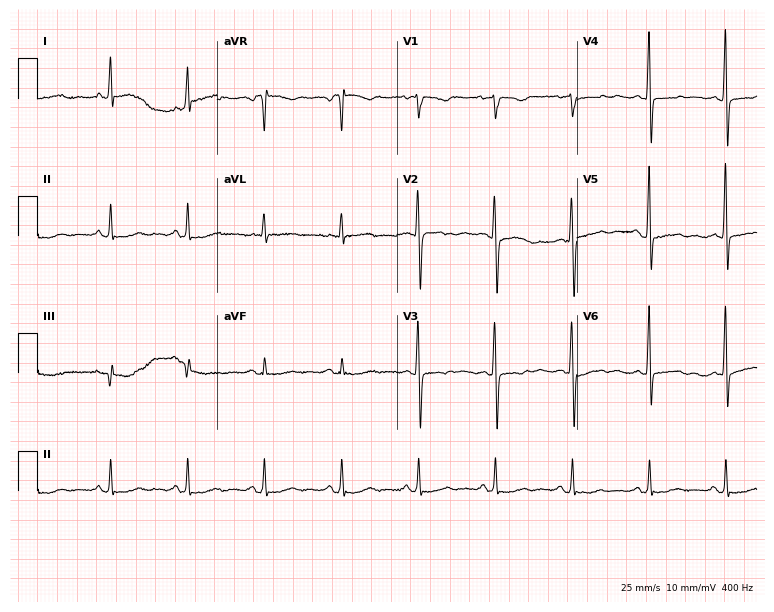
12-lead ECG from a 64-year-old female (7.3-second recording at 400 Hz). No first-degree AV block, right bundle branch block, left bundle branch block, sinus bradycardia, atrial fibrillation or sinus tachycardia recorded for this tracing.